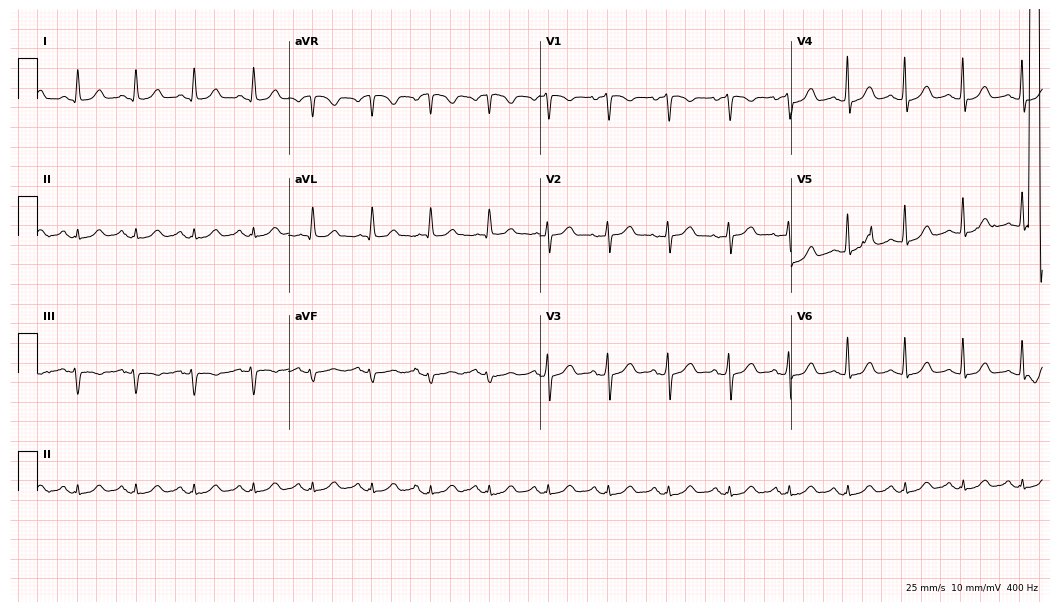
Resting 12-lead electrocardiogram (10.2-second recording at 400 Hz). Patient: a woman, 64 years old. None of these six findings is recorded: first-degree AV block, right bundle branch block, left bundle branch block, sinus bradycardia, atrial fibrillation, sinus tachycardia.